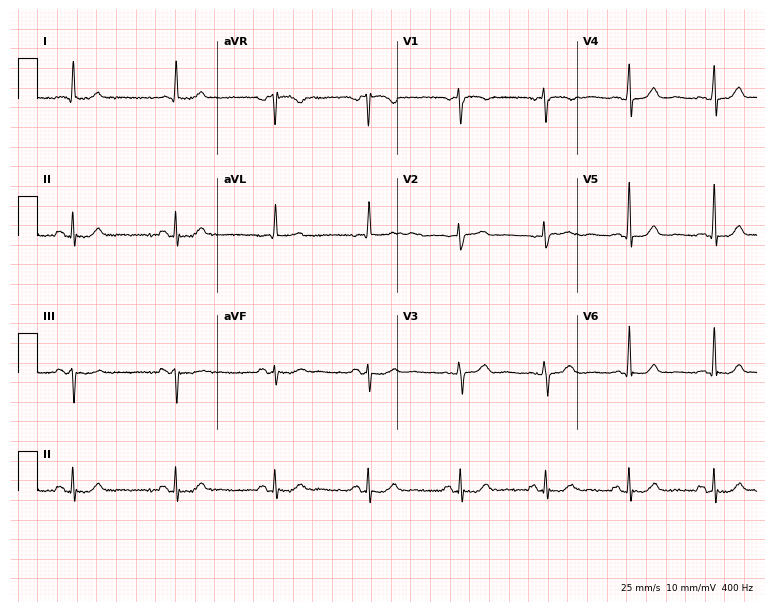
12-lead ECG from a woman, 66 years old (7.3-second recording at 400 Hz). No first-degree AV block, right bundle branch block (RBBB), left bundle branch block (LBBB), sinus bradycardia, atrial fibrillation (AF) or sinus tachycardia recorded for this tracing.